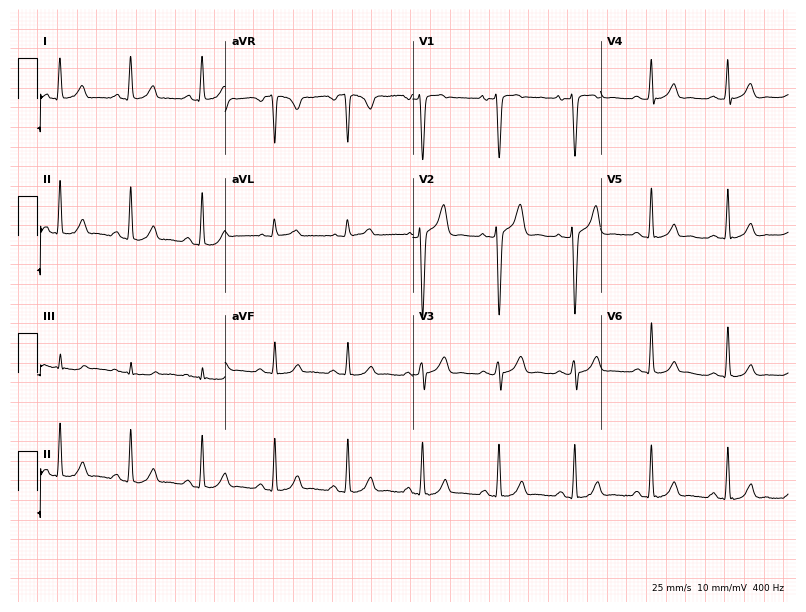
12-lead ECG from a female patient, 31 years old (7.7-second recording at 400 Hz). Recorded interpretation: within normal limits.